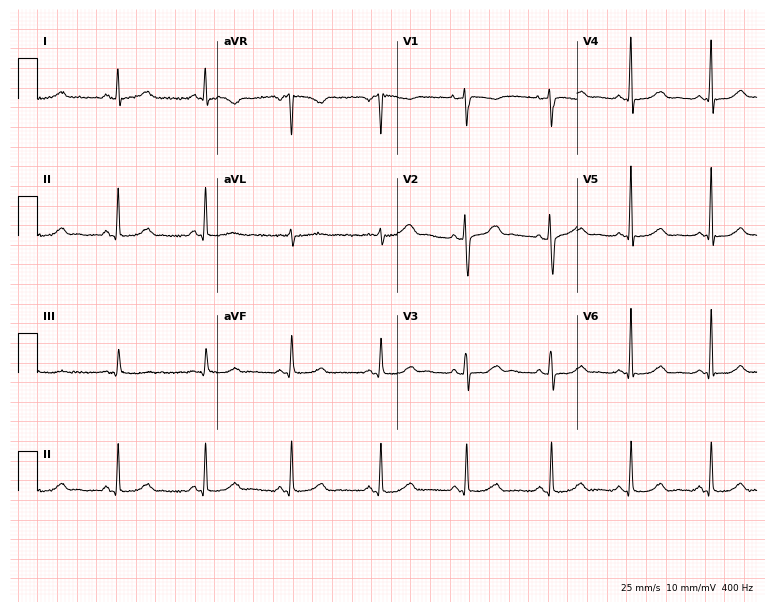
12-lead ECG from a female, 40 years old (7.3-second recording at 400 Hz). No first-degree AV block, right bundle branch block, left bundle branch block, sinus bradycardia, atrial fibrillation or sinus tachycardia recorded for this tracing. Only these six findings were labelled.